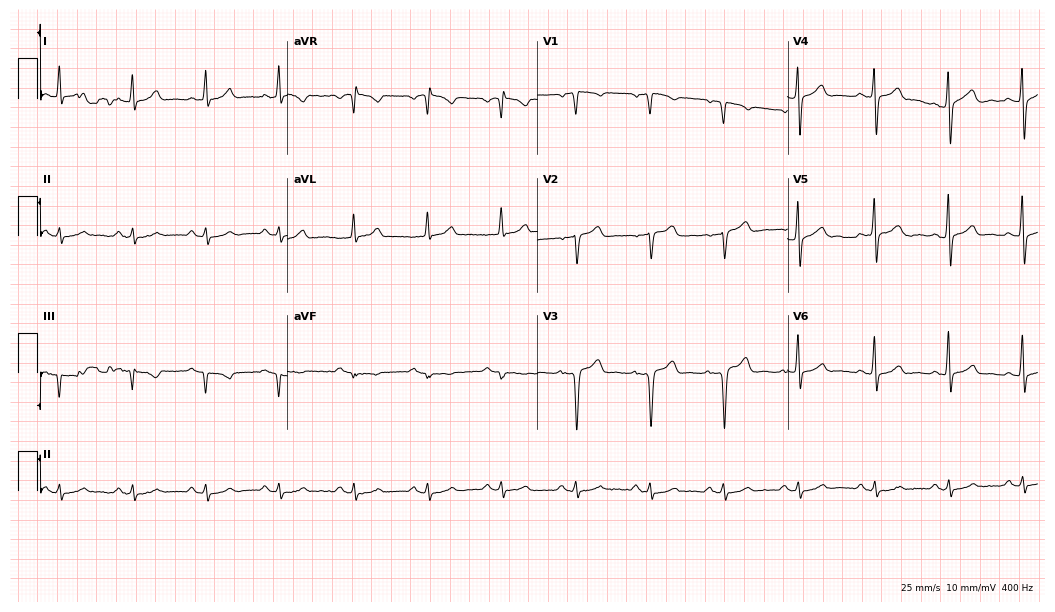
Resting 12-lead electrocardiogram (10.2-second recording at 400 Hz). Patient: a man, 47 years old. None of these six findings is recorded: first-degree AV block, right bundle branch block, left bundle branch block, sinus bradycardia, atrial fibrillation, sinus tachycardia.